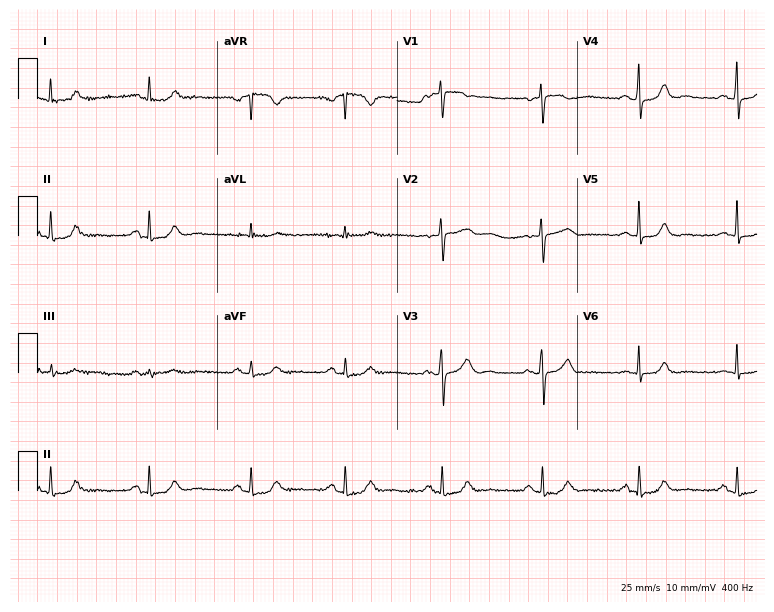
12-lead ECG from a female patient, 65 years old. No first-degree AV block, right bundle branch block, left bundle branch block, sinus bradycardia, atrial fibrillation or sinus tachycardia recorded for this tracing.